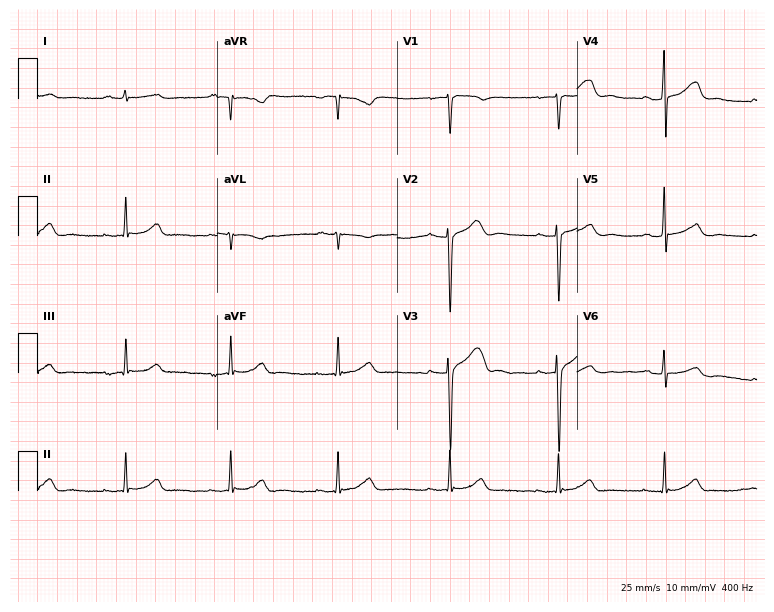
12-lead ECG (7.3-second recording at 400 Hz) from a man, 37 years old. Labelled as a normal ECG.